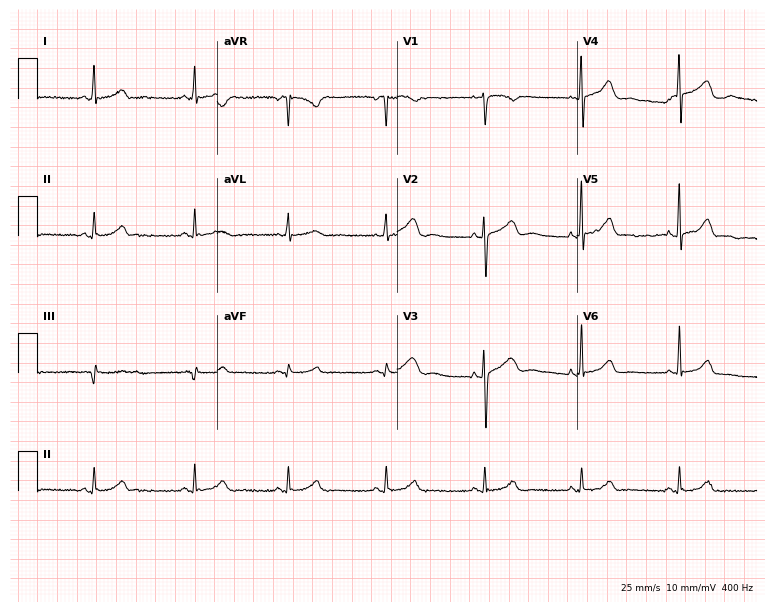
Electrocardiogram (7.3-second recording at 400 Hz), a 37-year-old female patient. Overall reading on record: normal ECG.